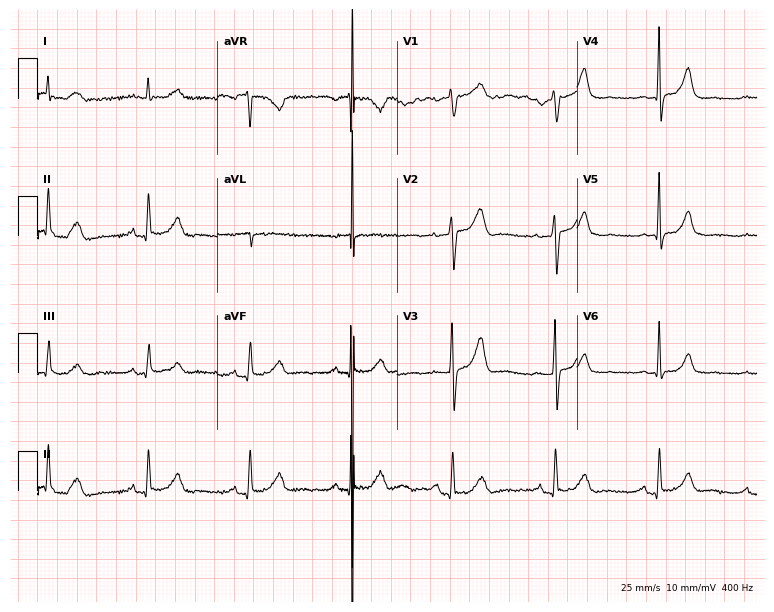
Standard 12-lead ECG recorded from a female, 71 years old (7.3-second recording at 400 Hz). Read as a normal ECG.